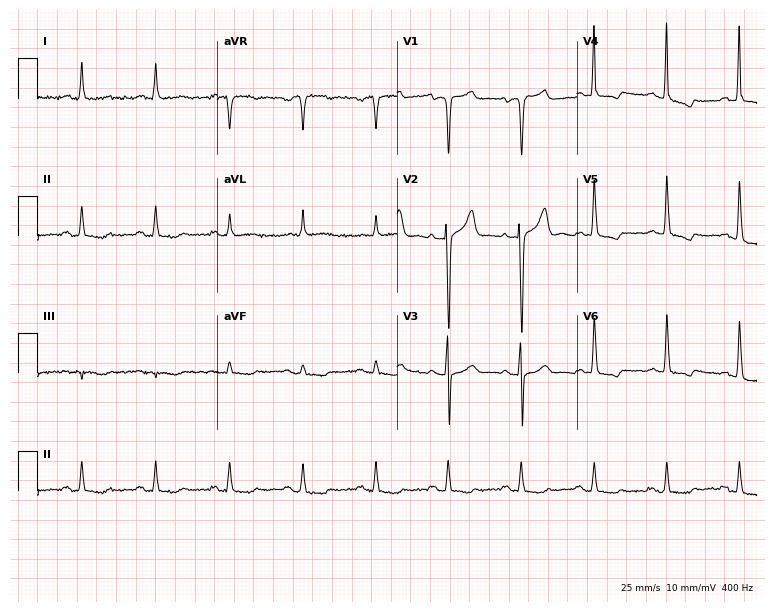
Standard 12-lead ECG recorded from a male, 64 years old. None of these six findings is recorded: first-degree AV block, right bundle branch block (RBBB), left bundle branch block (LBBB), sinus bradycardia, atrial fibrillation (AF), sinus tachycardia. Only these six findings were labelled.